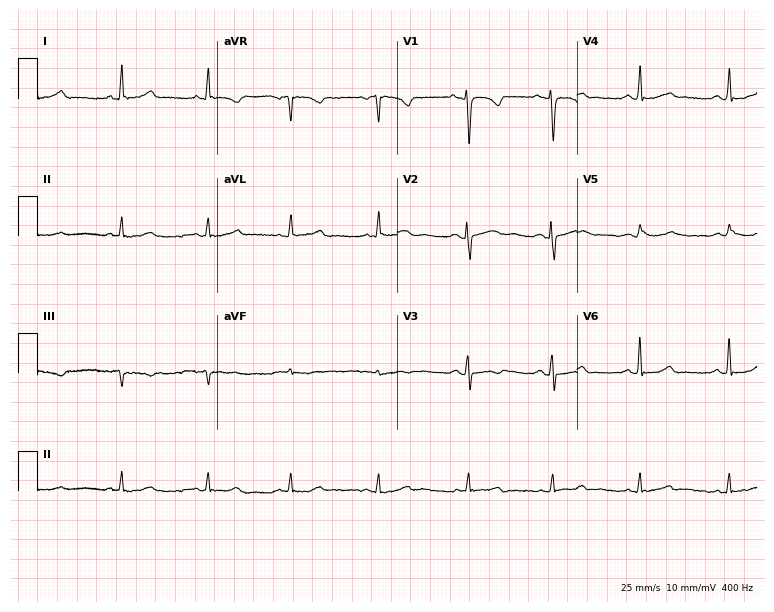
Electrocardiogram (7.3-second recording at 400 Hz), a 45-year-old female patient. Overall reading on record: normal ECG.